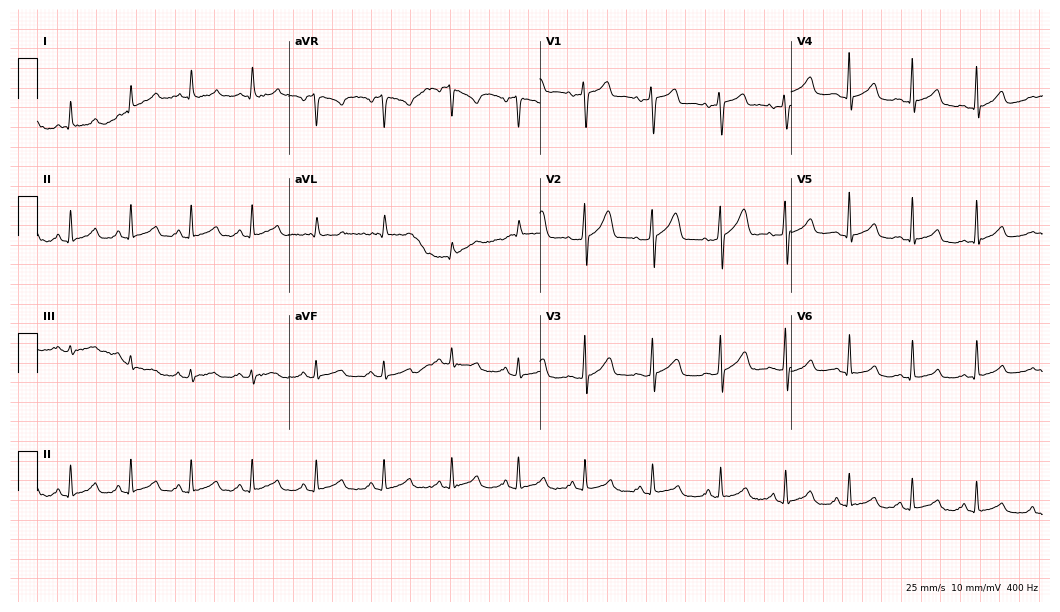
Resting 12-lead electrocardiogram. Patient: a 29-year-old male. None of these six findings is recorded: first-degree AV block, right bundle branch block, left bundle branch block, sinus bradycardia, atrial fibrillation, sinus tachycardia.